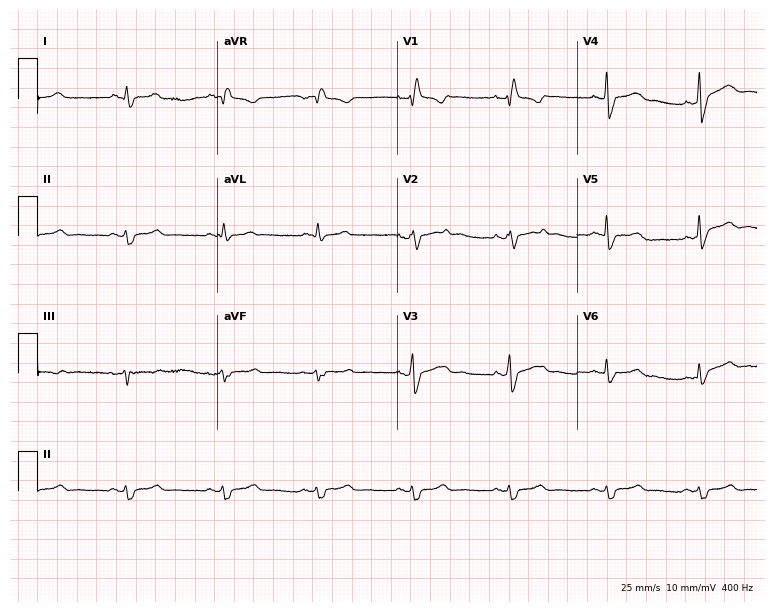
12-lead ECG (7.3-second recording at 400 Hz) from a 51-year-old female. Findings include right bundle branch block.